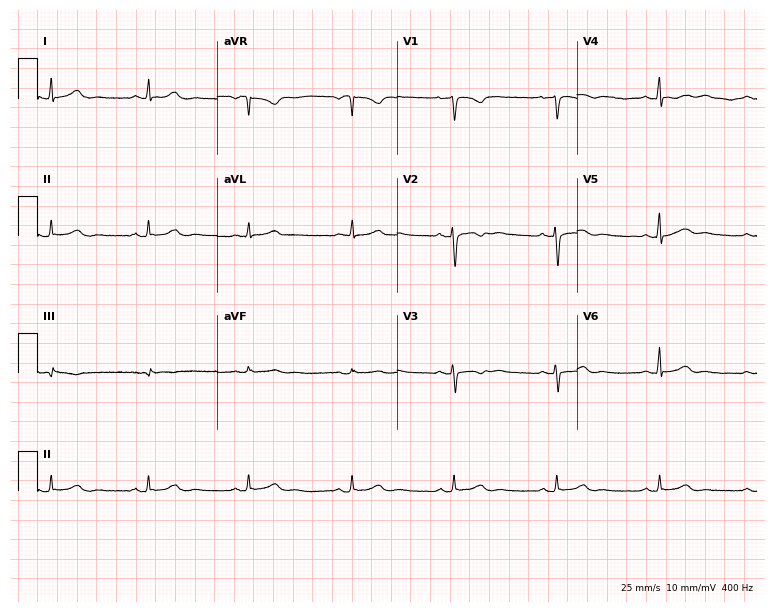
Resting 12-lead electrocardiogram. Patient: a 35-year-old female. Read as a normal ECG.